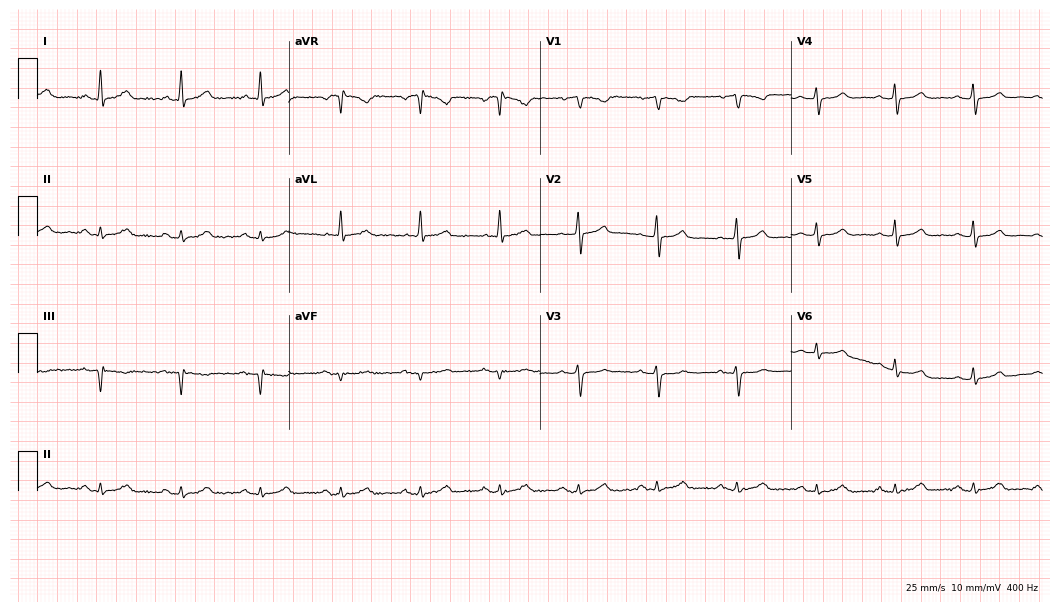
Resting 12-lead electrocardiogram (10.2-second recording at 400 Hz). Patient: a female, 62 years old. Read as a normal ECG.